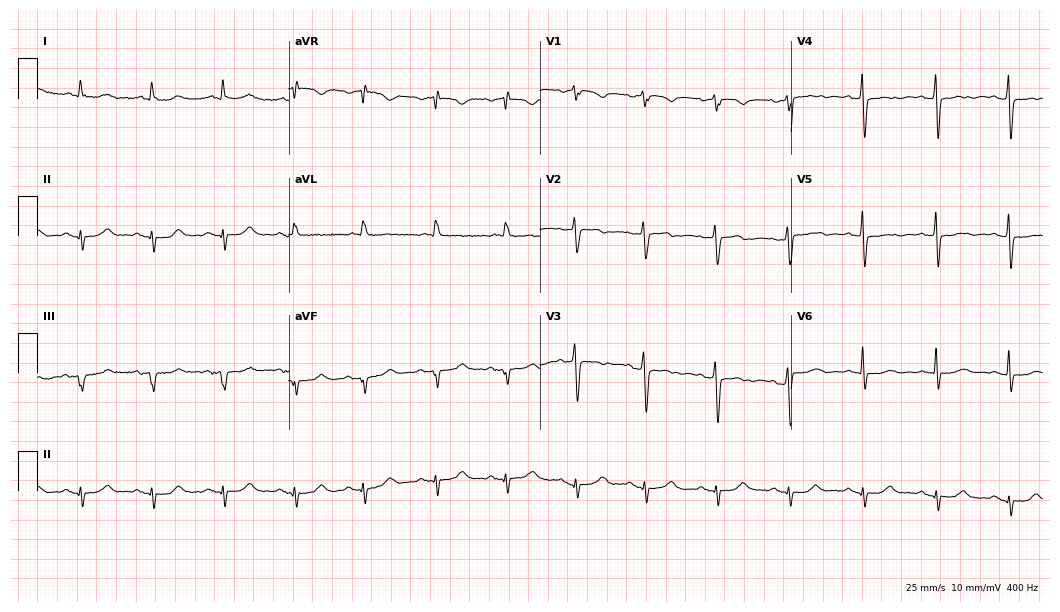
Standard 12-lead ECG recorded from a female patient, 72 years old. Read as a normal ECG.